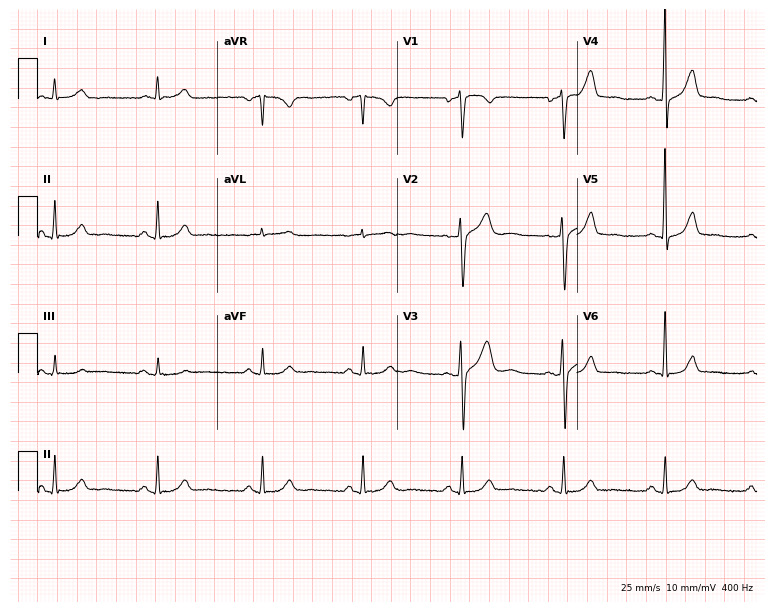
Electrocardiogram (7.3-second recording at 400 Hz), a 60-year-old male. Overall reading on record: normal ECG.